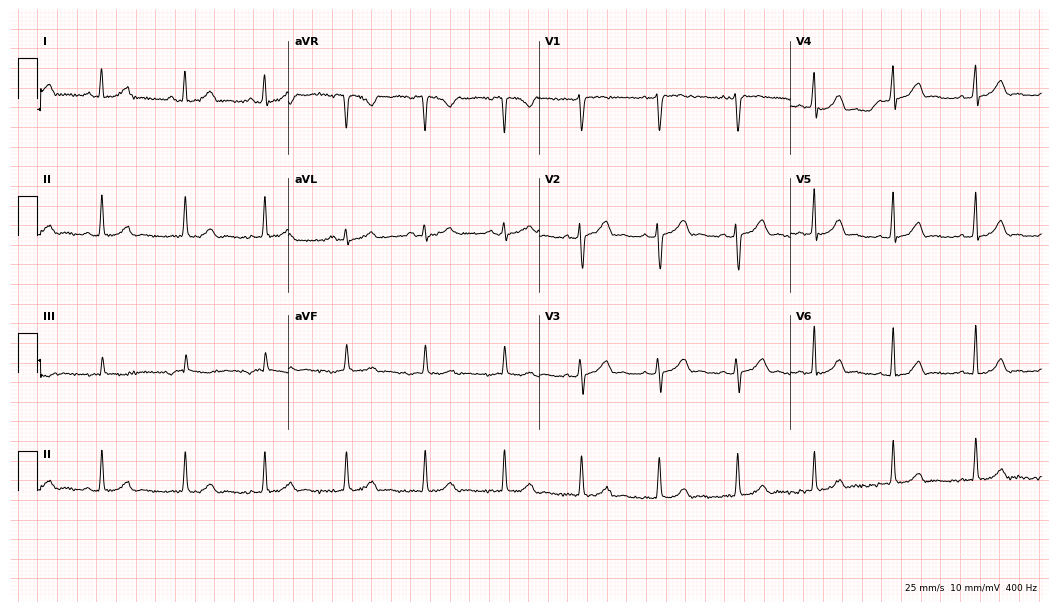
ECG — a 25-year-old female. Labelled as a normal ECG.